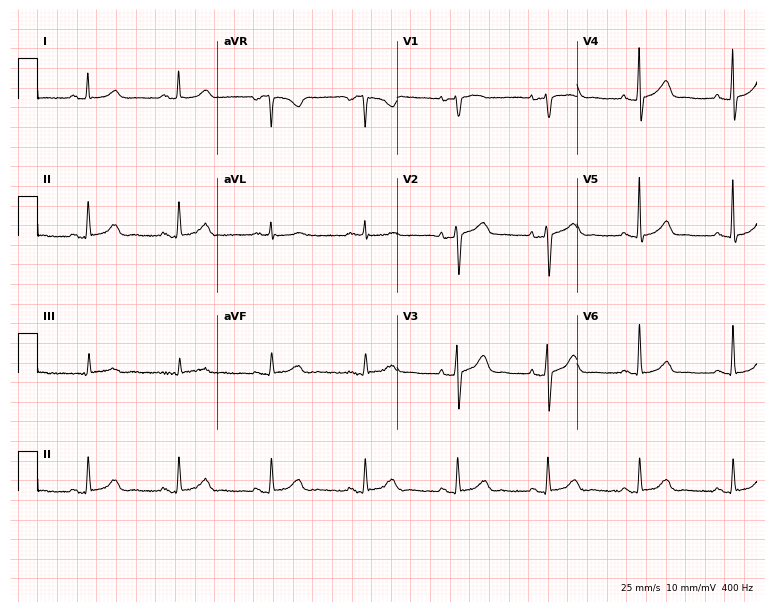
12-lead ECG from a female patient, 48 years old (7.3-second recording at 400 Hz). No first-degree AV block, right bundle branch block (RBBB), left bundle branch block (LBBB), sinus bradycardia, atrial fibrillation (AF) or sinus tachycardia recorded for this tracing.